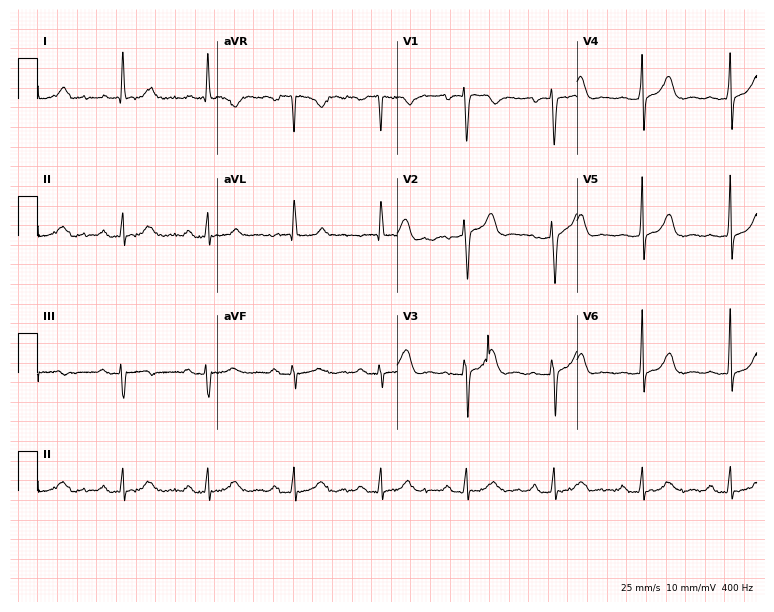
12-lead ECG from a woman, 58 years old. Labelled as a normal ECG.